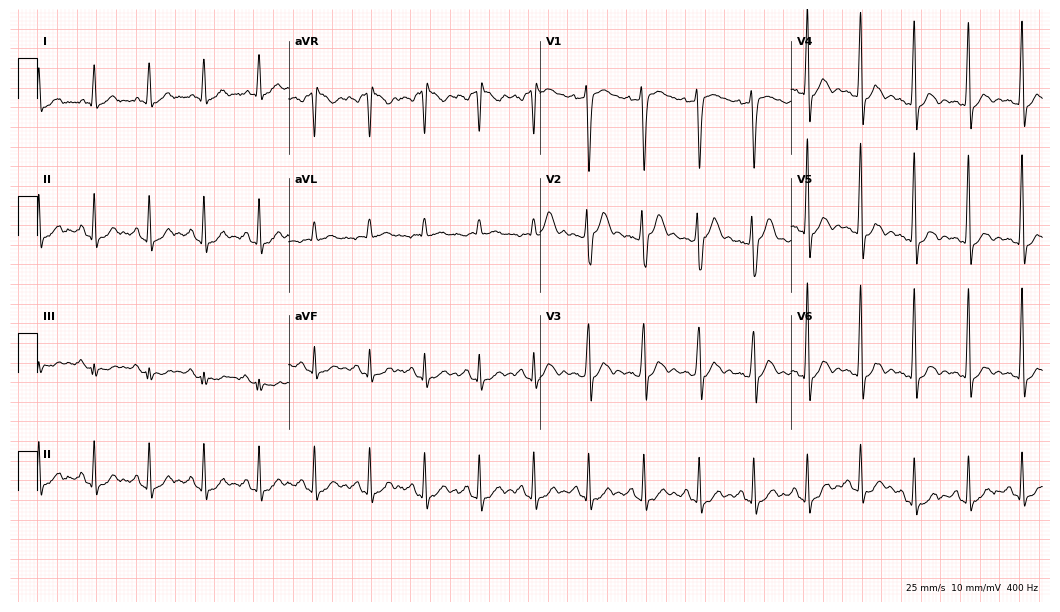
Resting 12-lead electrocardiogram. Patient: a woman, 36 years old. The tracing shows sinus tachycardia (a sinus rate of 100 beats per minute or more).